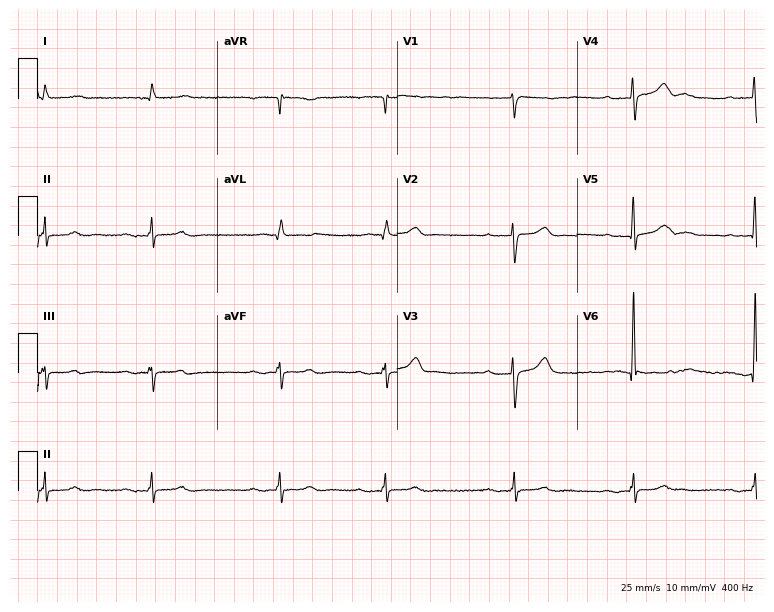
ECG — an 84-year-old man. Findings include first-degree AV block, atrial fibrillation.